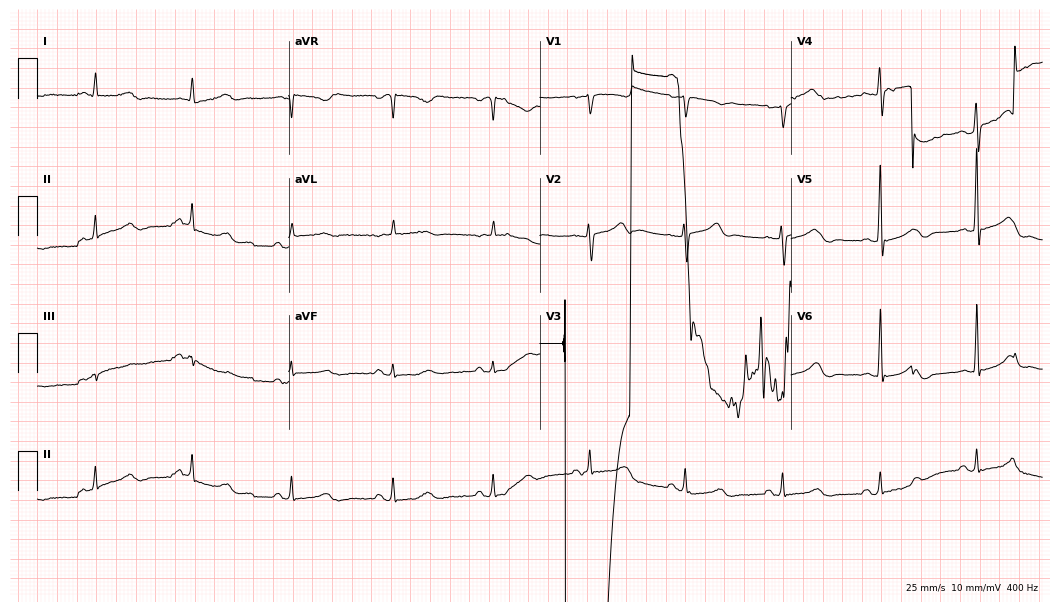
Electrocardiogram (10.2-second recording at 400 Hz), a female, 51 years old. Of the six screened findings (first-degree AV block, right bundle branch block, left bundle branch block, sinus bradycardia, atrial fibrillation, sinus tachycardia), none is recorded. Other findings, if any, are not listed.